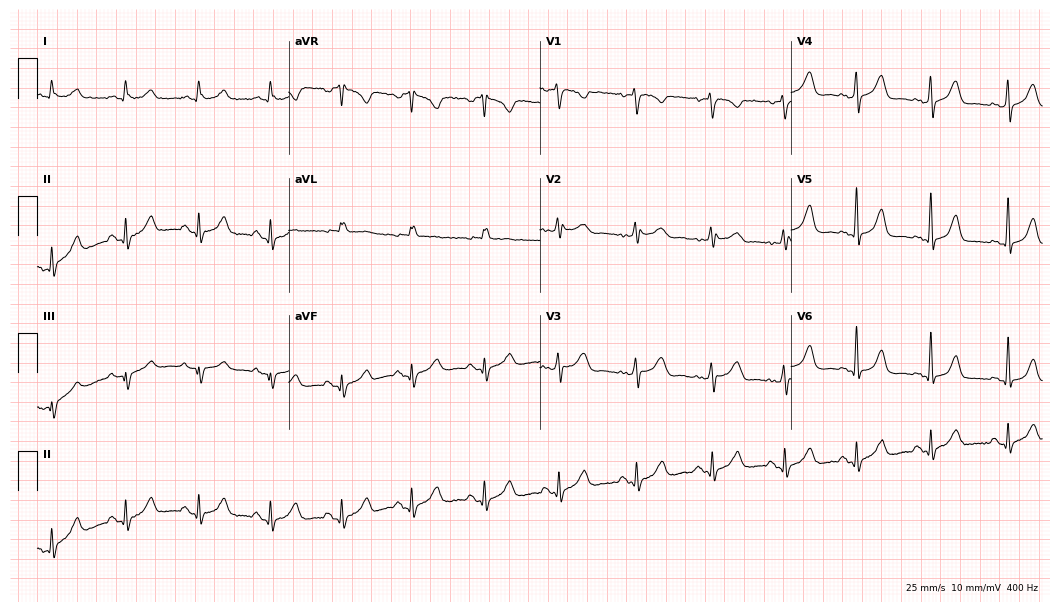
12-lead ECG from an 82-year-old woman (10.2-second recording at 400 Hz). No first-degree AV block, right bundle branch block, left bundle branch block, sinus bradycardia, atrial fibrillation or sinus tachycardia recorded for this tracing.